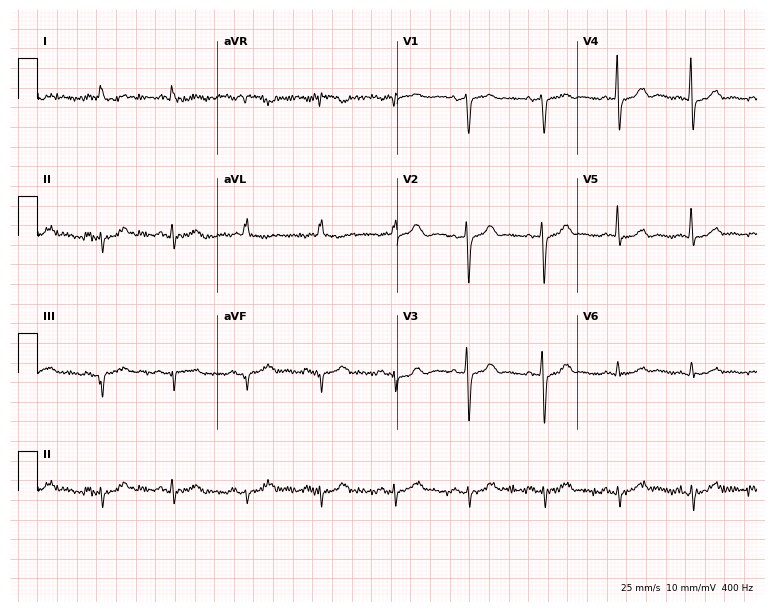
Resting 12-lead electrocardiogram (7.3-second recording at 400 Hz). Patient: an 80-year-old female. None of these six findings is recorded: first-degree AV block, right bundle branch block, left bundle branch block, sinus bradycardia, atrial fibrillation, sinus tachycardia.